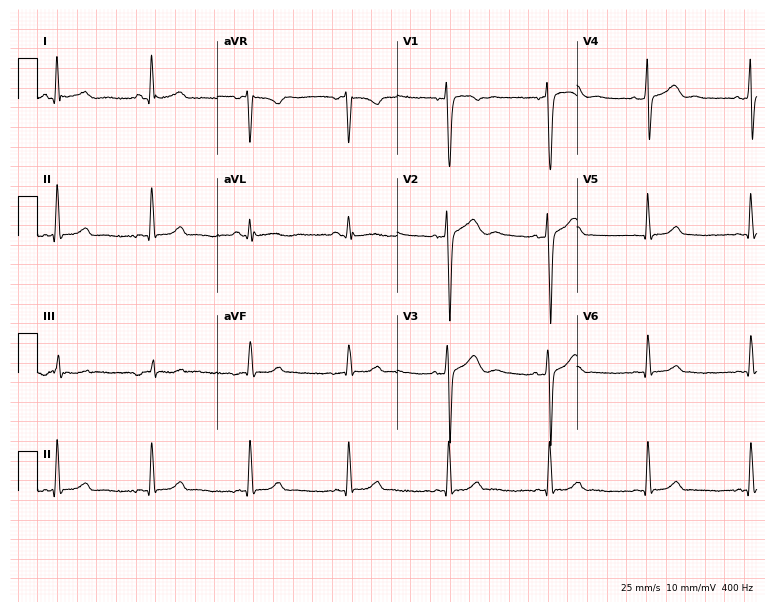
Electrocardiogram, a 20-year-old man. Overall reading on record: normal ECG.